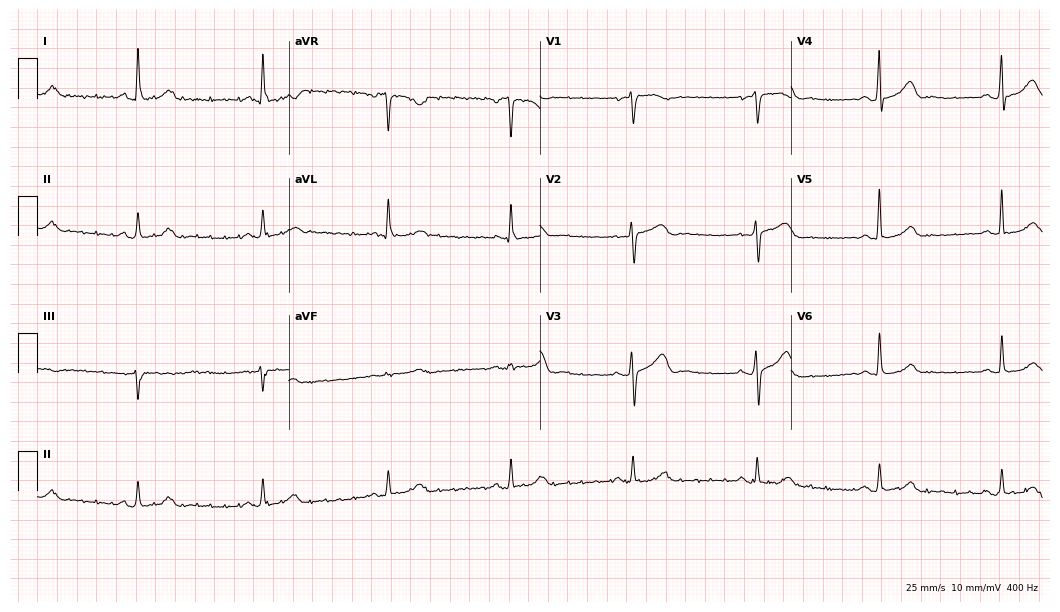
Resting 12-lead electrocardiogram (10.2-second recording at 400 Hz). Patient: a 74-year-old female. Read as a normal ECG.